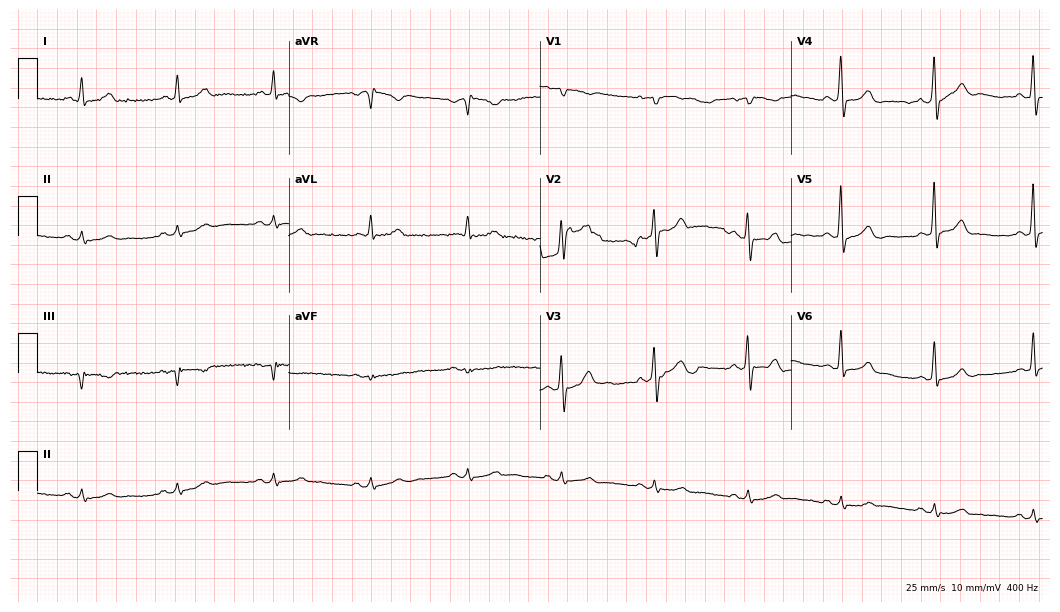
12-lead ECG from a 58-year-old male (10.2-second recording at 400 Hz). Recorded interpretation: within normal limits.